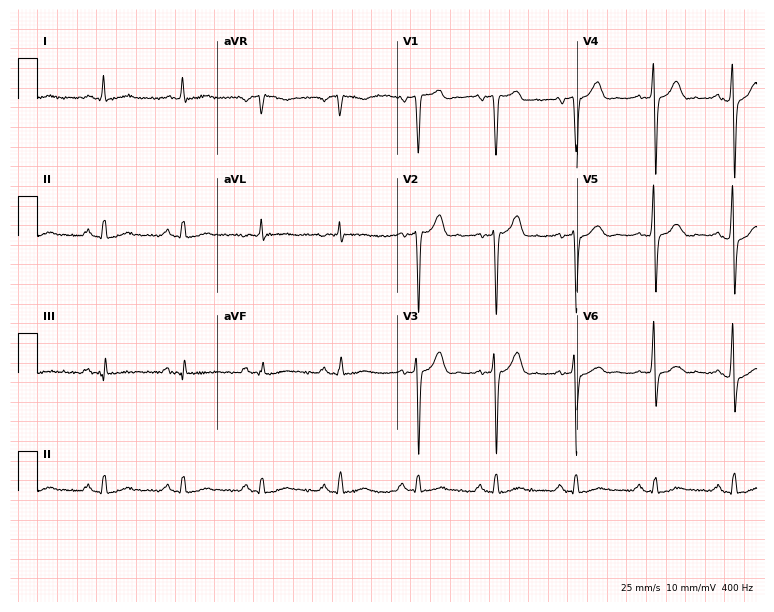
12-lead ECG (7.3-second recording at 400 Hz) from a male, 81 years old. Screened for six findings — first-degree AV block, right bundle branch block, left bundle branch block, sinus bradycardia, atrial fibrillation, sinus tachycardia — none is recorded.